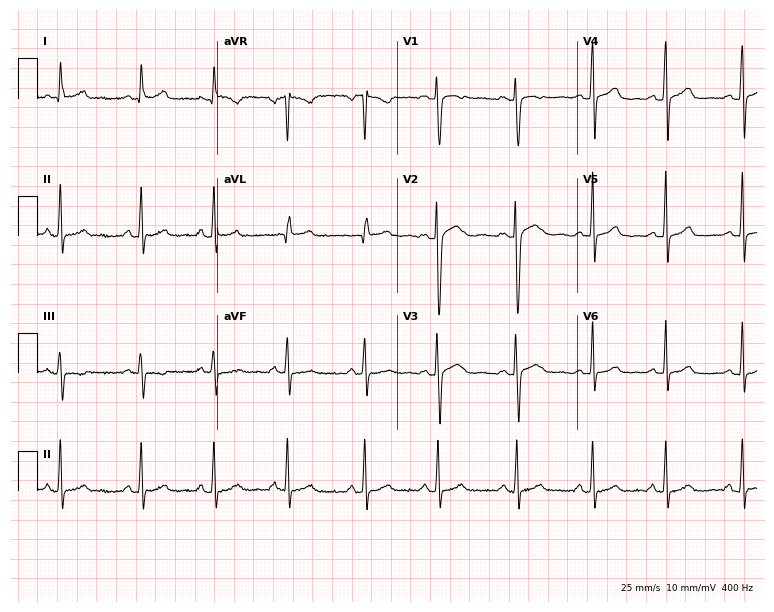
Electrocardiogram, an 18-year-old female patient. Overall reading on record: normal ECG.